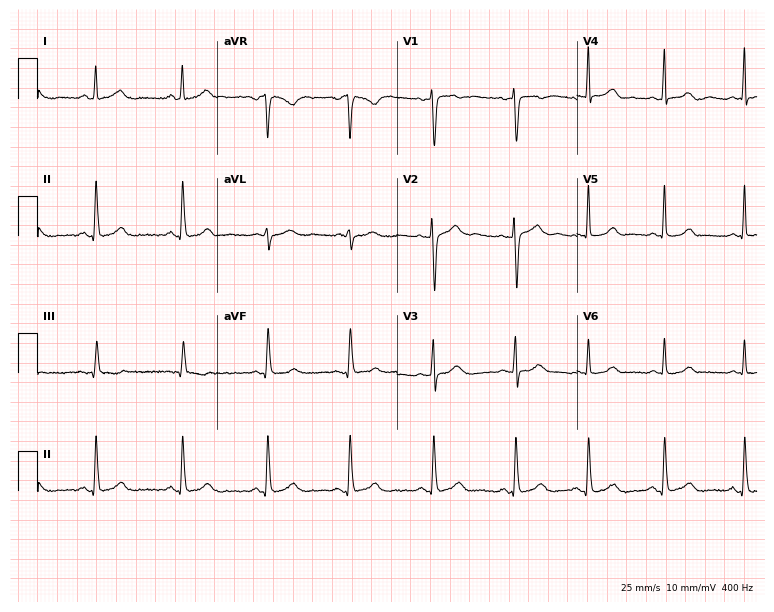
Electrocardiogram (7.3-second recording at 400 Hz), a 34-year-old woman. Overall reading on record: normal ECG.